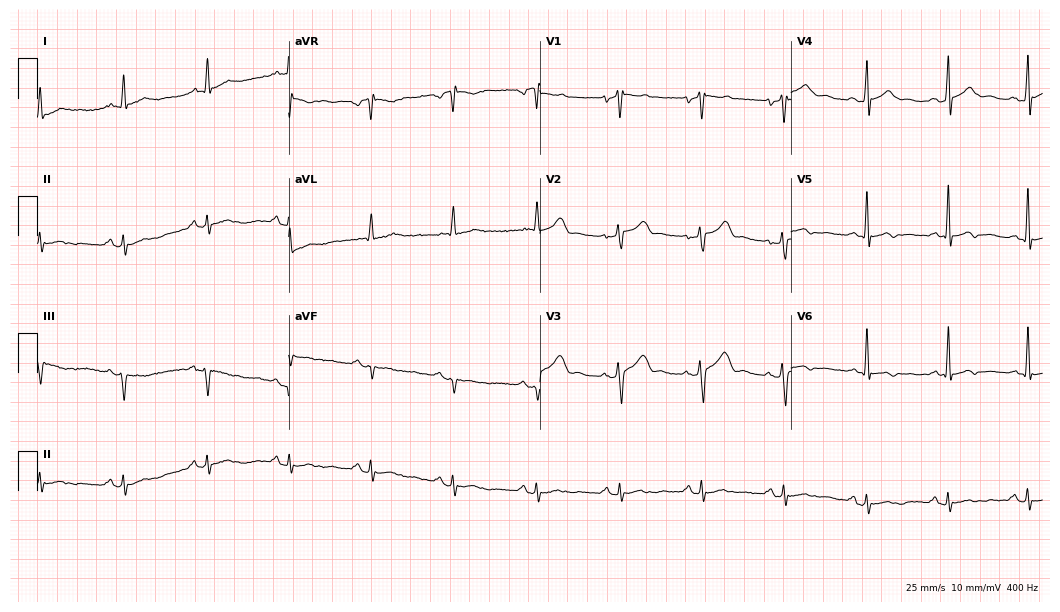
12-lead ECG from a 57-year-old male patient. Screened for six findings — first-degree AV block, right bundle branch block, left bundle branch block, sinus bradycardia, atrial fibrillation, sinus tachycardia — none is recorded. Findings outside these six are not listed.